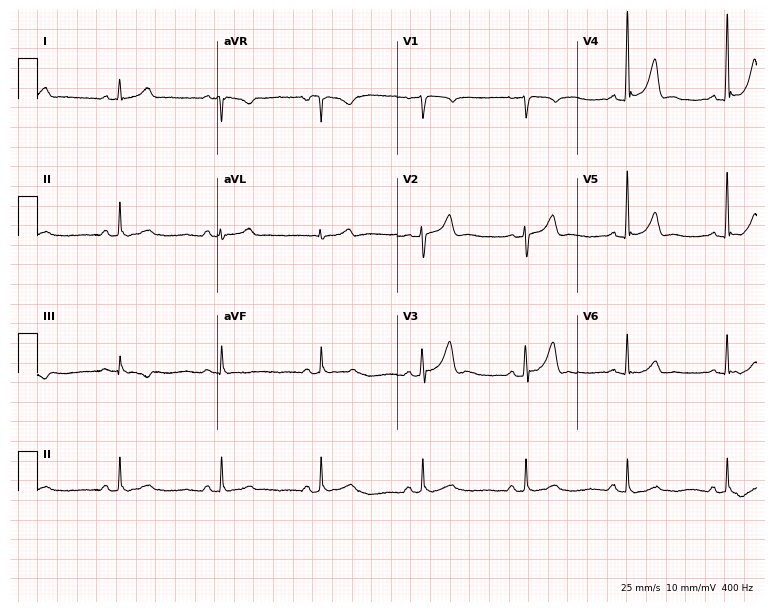
Electrocardiogram, a man, 76 years old. Overall reading on record: normal ECG.